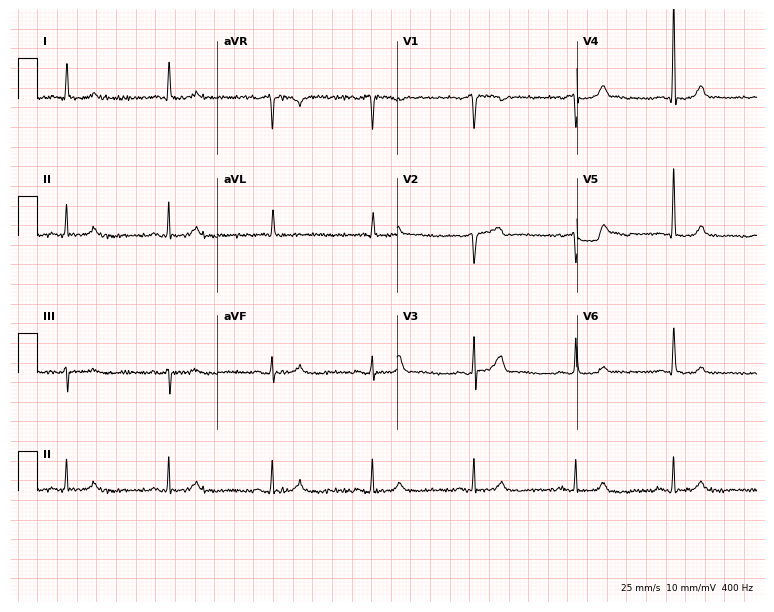
12-lead ECG from an 84-year-old woman. Labelled as a normal ECG.